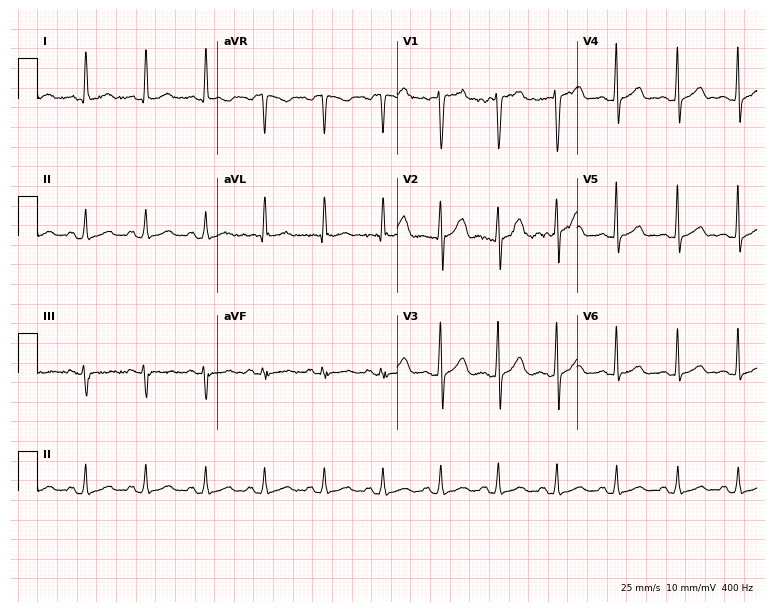
Electrocardiogram, a woman, 36 years old. Of the six screened findings (first-degree AV block, right bundle branch block (RBBB), left bundle branch block (LBBB), sinus bradycardia, atrial fibrillation (AF), sinus tachycardia), none is recorded.